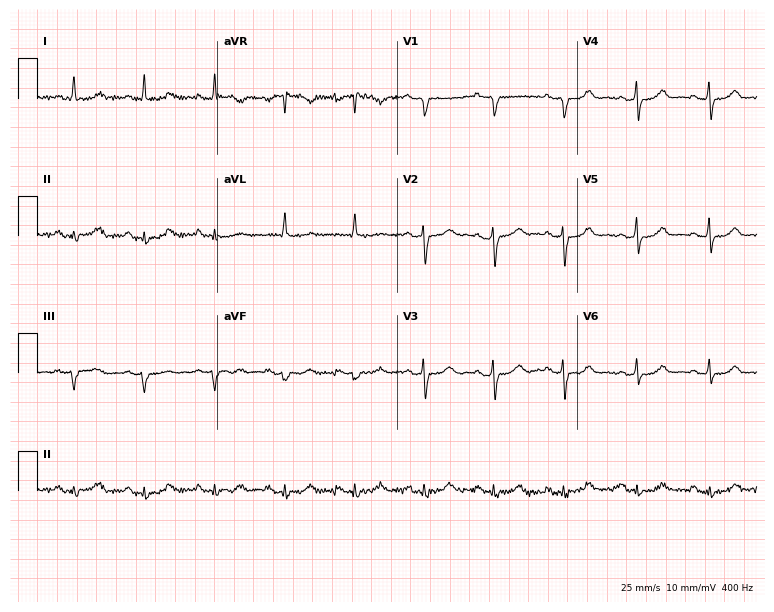
12-lead ECG from a female patient, 66 years old. Recorded interpretation: within normal limits.